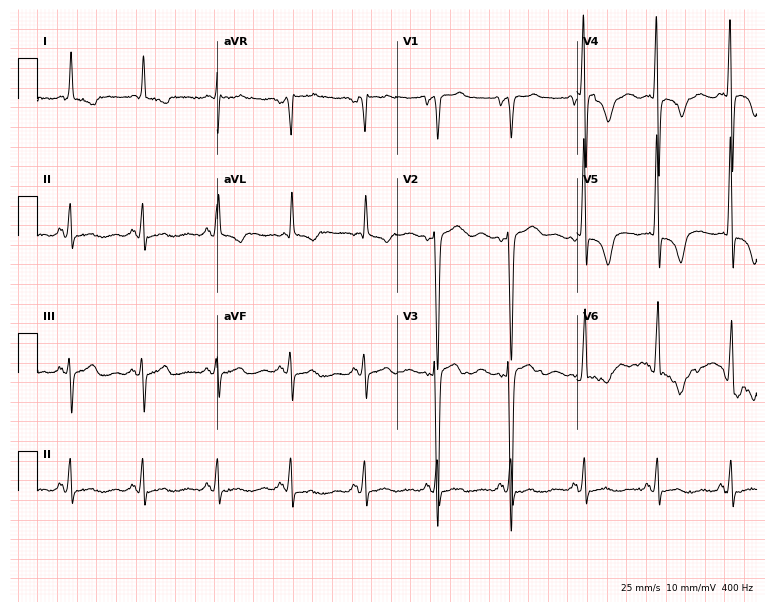
Electrocardiogram, a female patient, 74 years old. Of the six screened findings (first-degree AV block, right bundle branch block (RBBB), left bundle branch block (LBBB), sinus bradycardia, atrial fibrillation (AF), sinus tachycardia), none is recorded. Only these six findings were labelled.